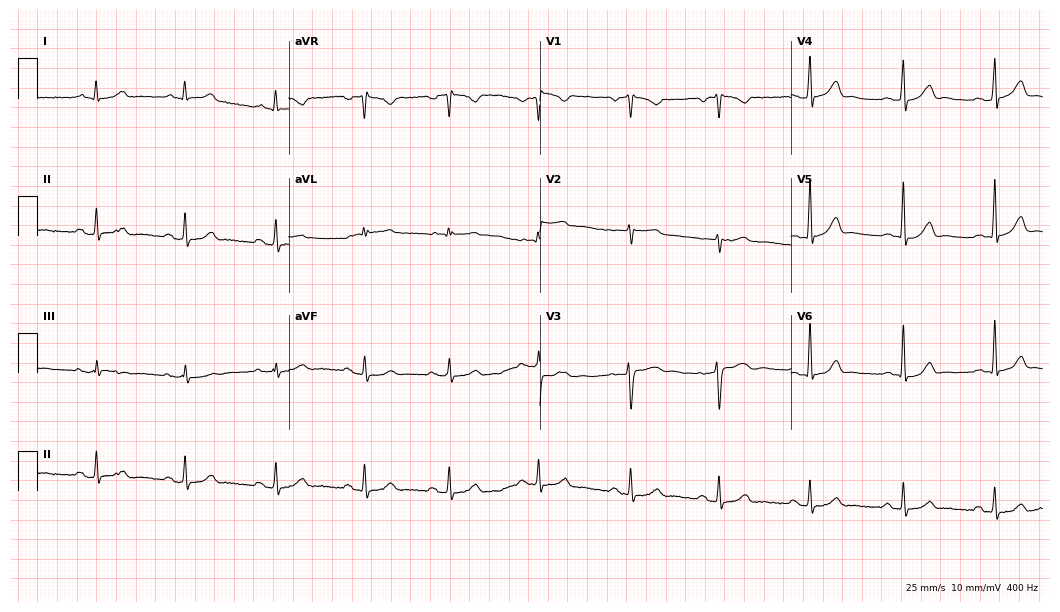
Electrocardiogram, a 42-year-old female patient. Of the six screened findings (first-degree AV block, right bundle branch block (RBBB), left bundle branch block (LBBB), sinus bradycardia, atrial fibrillation (AF), sinus tachycardia), none is recorded.